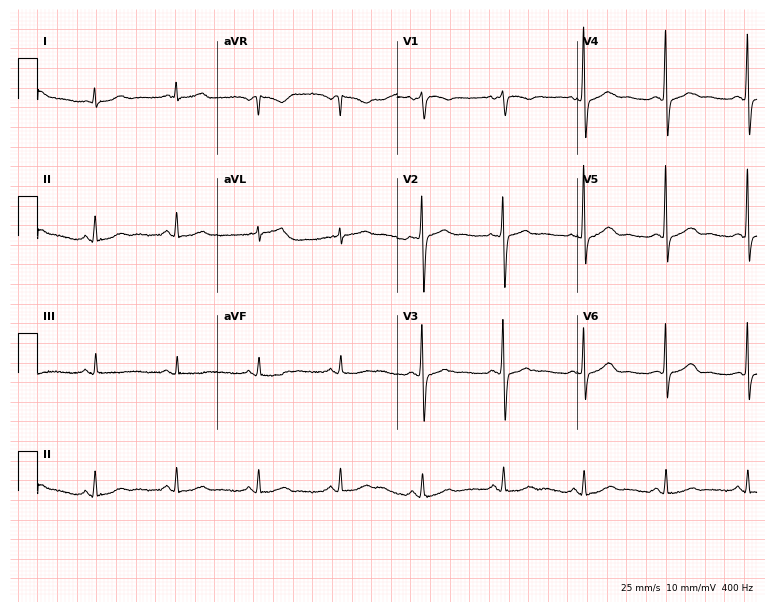
Resting 12-lead electrocardiogram (7.3-second recording at 400 Hz). Patient: a 65-year-old man. Read as a normal ECG.